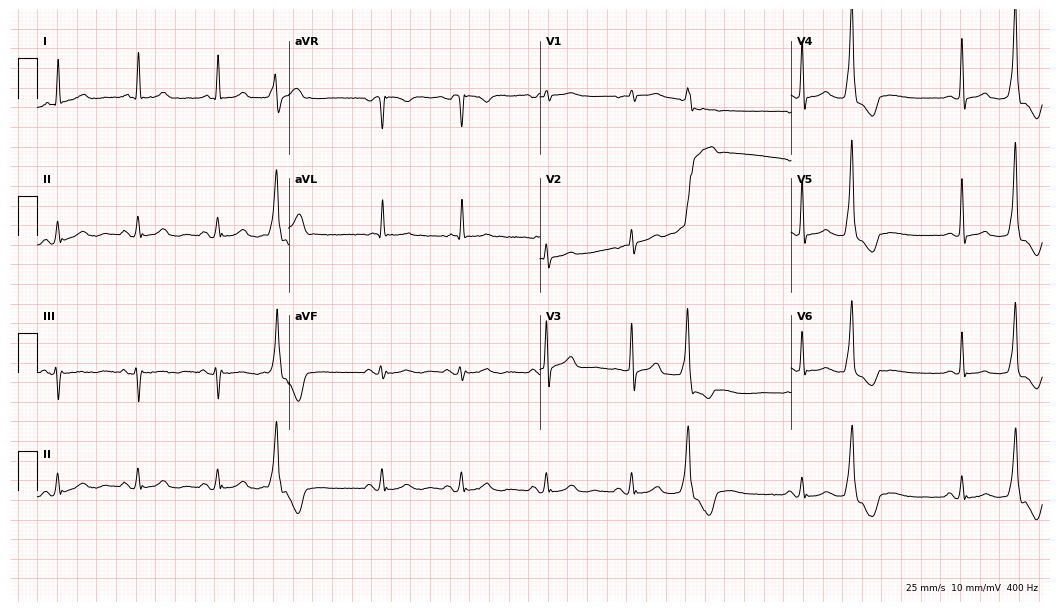
ECG — a 74-year-old woman. Screened for six findings — first-degree AV block, right bundle branch block, left bundle branch block, sinus bradycardia, atrial fibrillation, sinus tachycardia — none is recorded.